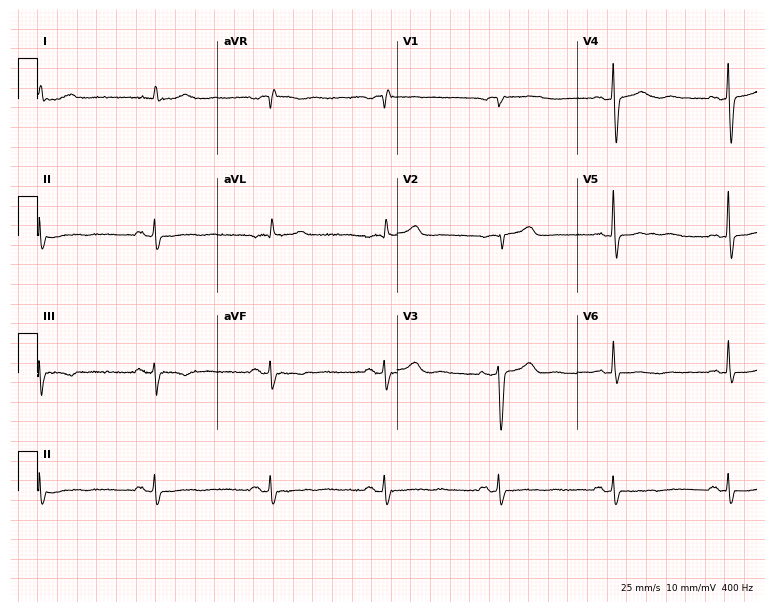
Standard 12-lead ECG recorded from a male, 77 years old (7.3-second recording at 400 Hz). None of these six findings is recorded: first-degree AV block, right bundle branch block (RBBB), left bundle branch block (LBBB), sinus bradycardia, atrial fibrillation (AF), sinus tachycardia.